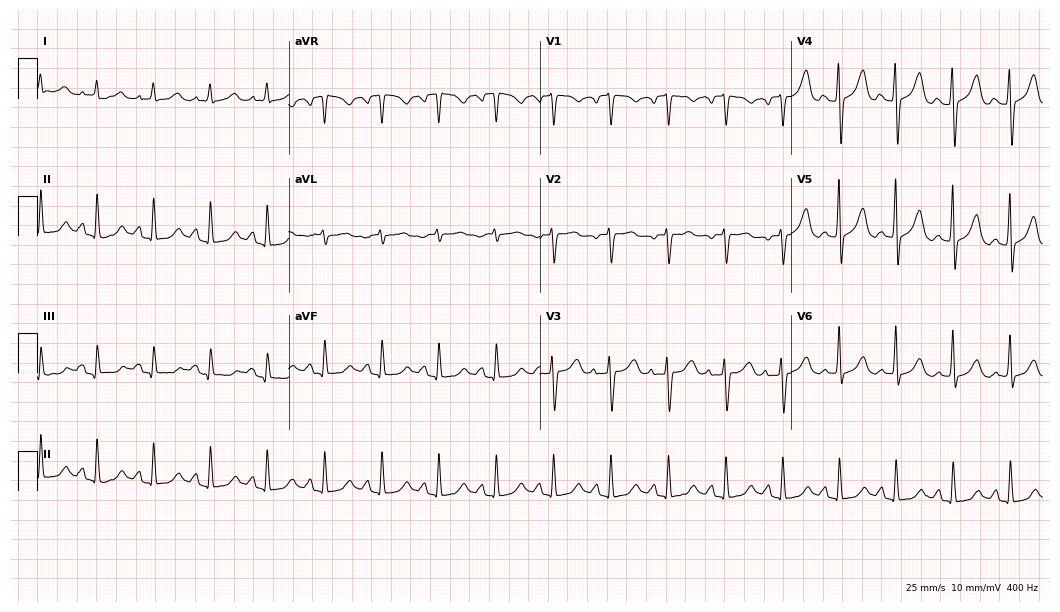
ECG — a woman, 70 years old. Findings include sinus tachycardia (a sinus rate of 100 beats per minute or more).